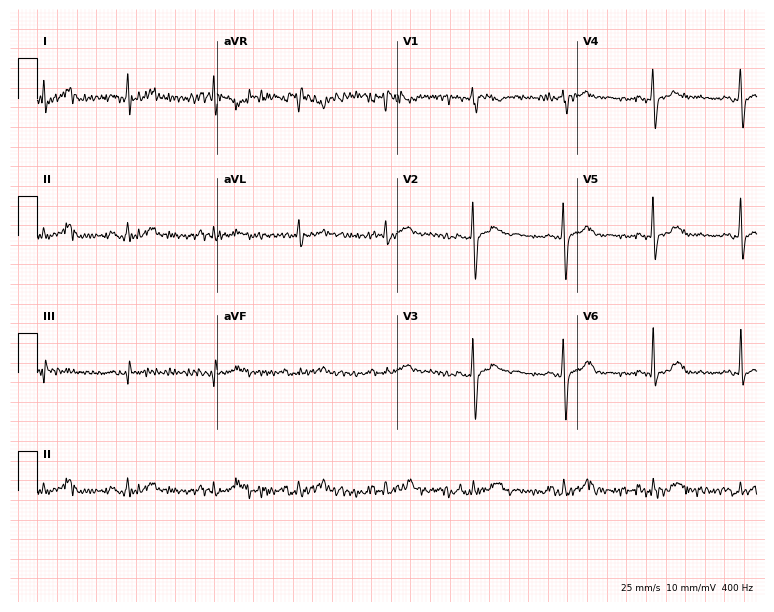
Electrocardiogram (7.3-second recording at 400 Hz), a 40-year-old female. Of the six screened findings (first-degree AV block, right bundle branch block (RBBB), left bundle branch block (LBBB), sinus bradycardia, atrial fibrillation (AF), sinus tachycardia), none is recorded.